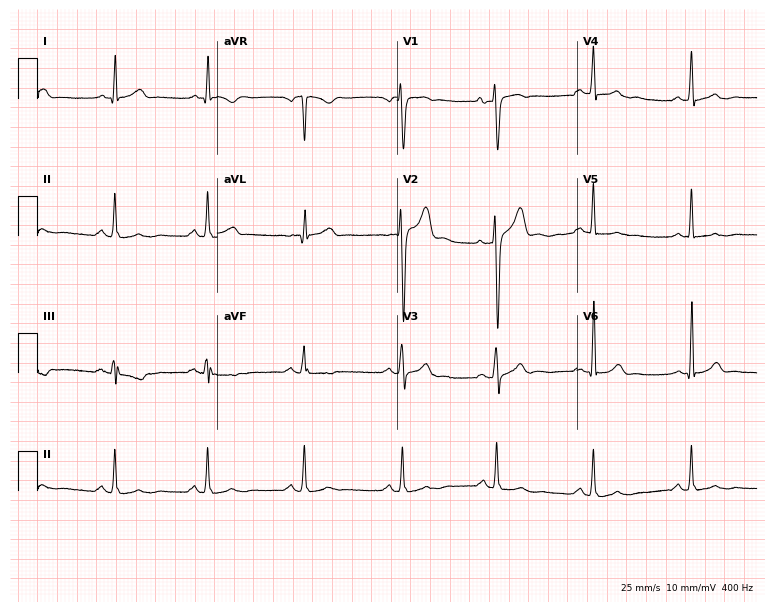
12-lead ECG (7.3-second recording at 400 Hz) from a 32-year-old male patient. Labelled as a normal ECG.